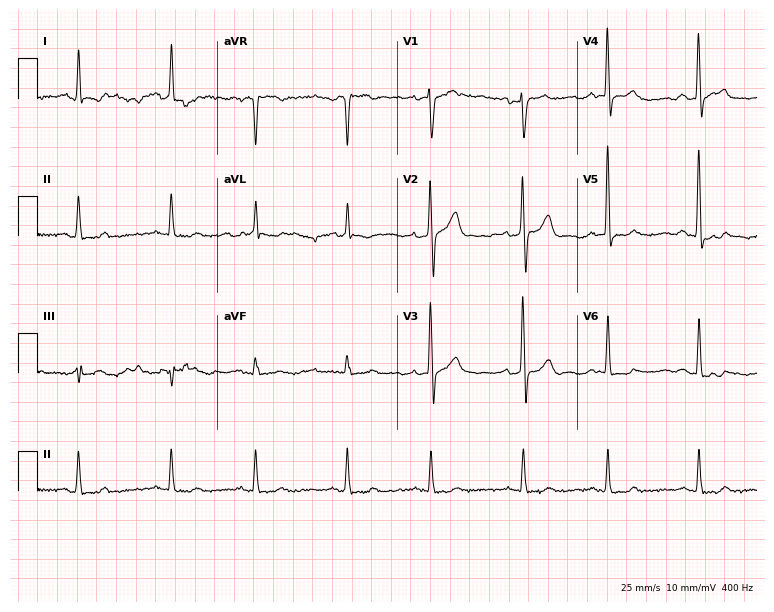
Electrocardiogram, an 81-year-old male. Of the six screened findings (first-degree AV block, right bundle branch block, left bundle branch block, sinus bradycardia, atrial fibrillation, sinus tachycardia), none is recorded. Only these six findings were labelled.